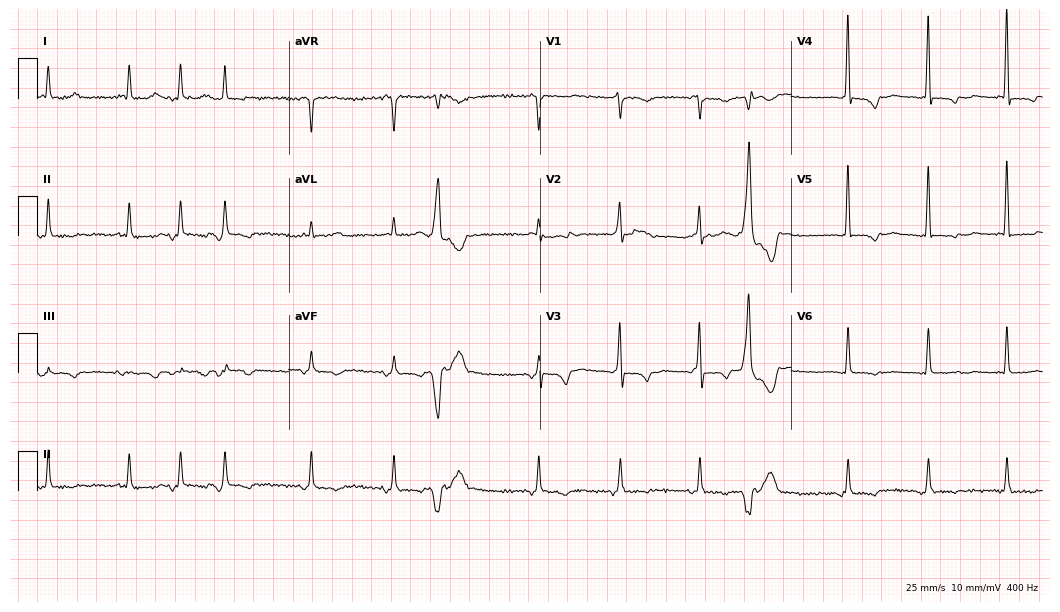
12-lead ECG (10.2-second recording at 400 Hz) from a woman, 79 years old. Screened for six findings — first-degree AV block, right bundle branch block (RBBB), left bundle branch block (LBBB), sinus bradycardia, atrial fibrillation (AF), sinus tachycardia — none is recorded. Findings outside these six are not listed.